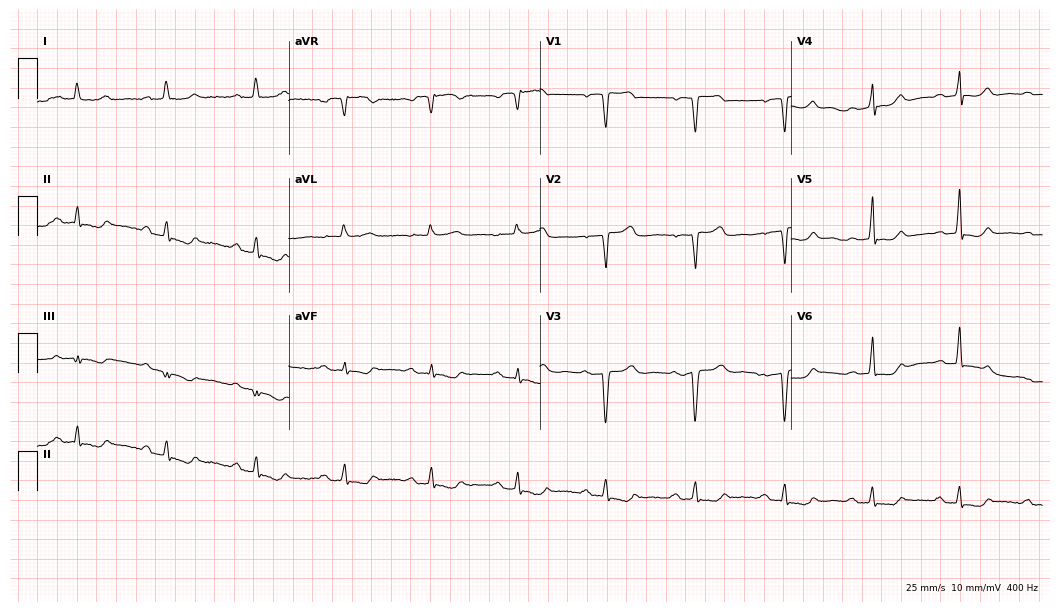
12-lead ECG from a woman, 67 years old (10.2-second recording at 400 Hz). Recorded interpretation: within normal limits.